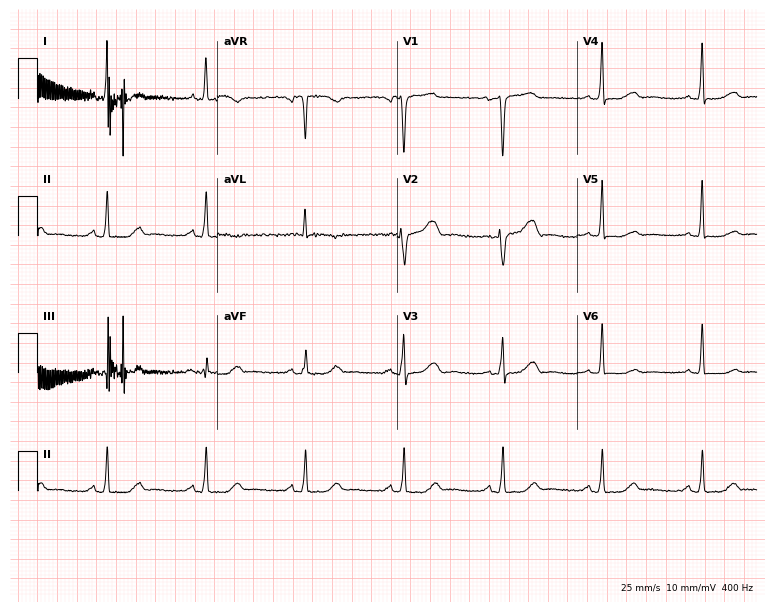
12-lead ECG from a 54-year-old female. Labelled as a normal ECG.